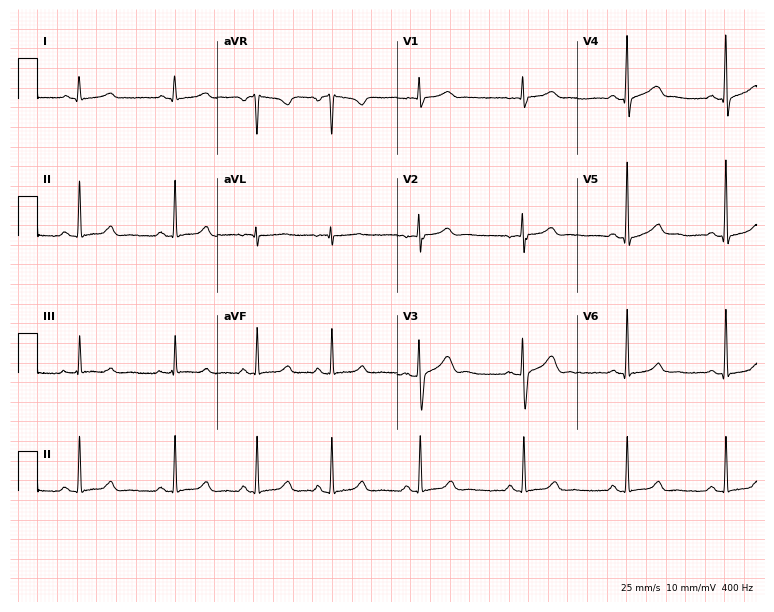
Electrocardiogram (7.3-second recording at 400 Hz), a 32-year-old female patient. Overall reading on record: normal ECG.